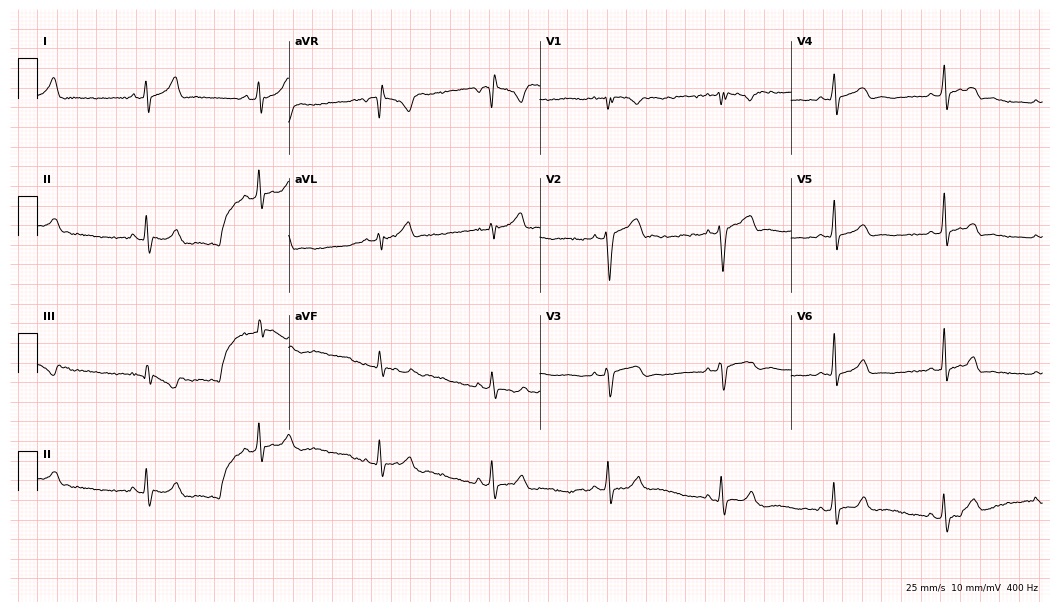
Electrocardiogram, a male, 26 years old. Overall reading on record: normal ECG.